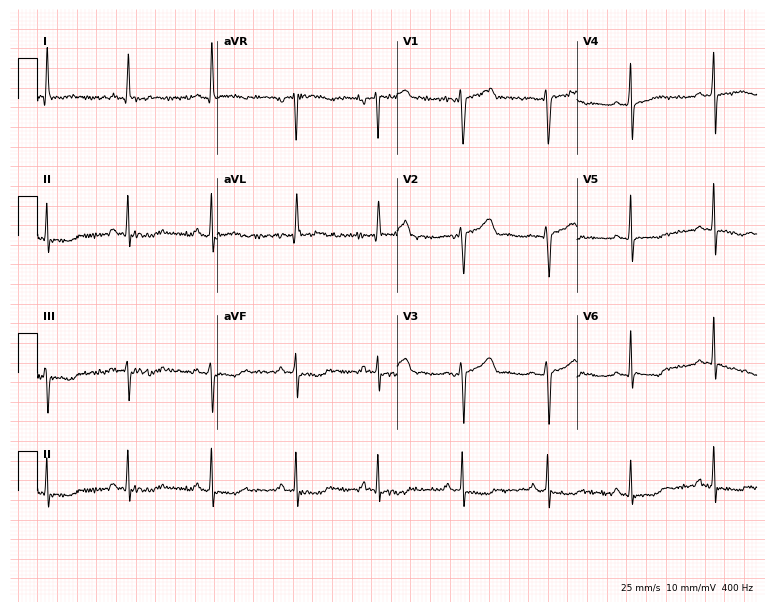
Resting 12-lead electrocardiogram (7.3-second recording at 400 Hz). Patient: a 48-year-old female. None of these six findings is recorded: first-degree AV block, right bundle branch block, left bundle branch block, sinus bradycardia, atrial fibrillation, sinus tachycardia. Findings outside these six are not listed.